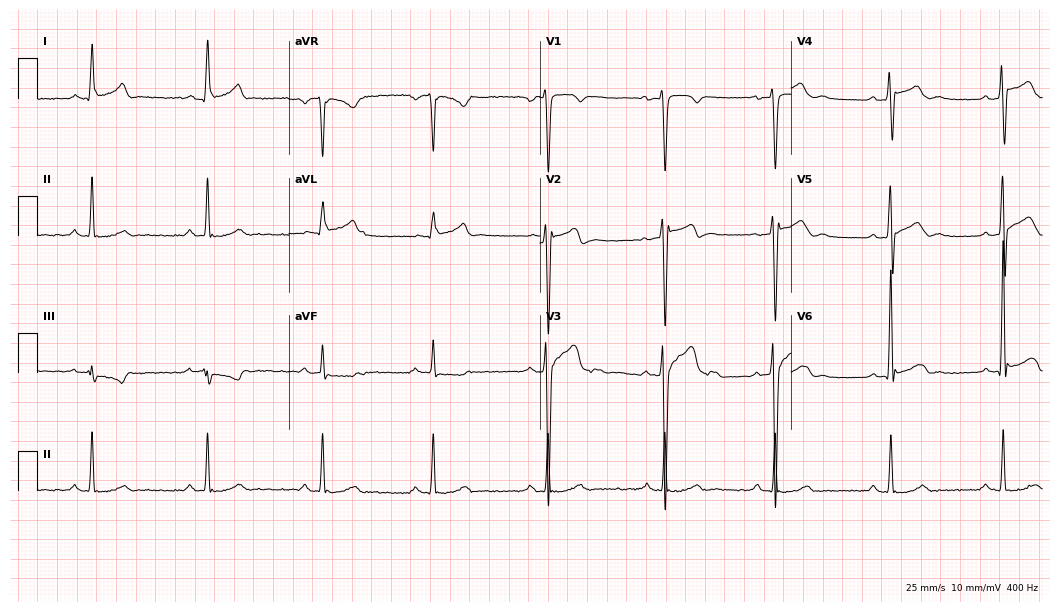
ECG — a 33-year-old male patient. Screened for six findings — first-degree AV block, right bundle branch block, left bundle branch block, sinus bradycardia, atrial fibrillation, sinus tachycardia — none is recorded. Only these six findings were labelled.